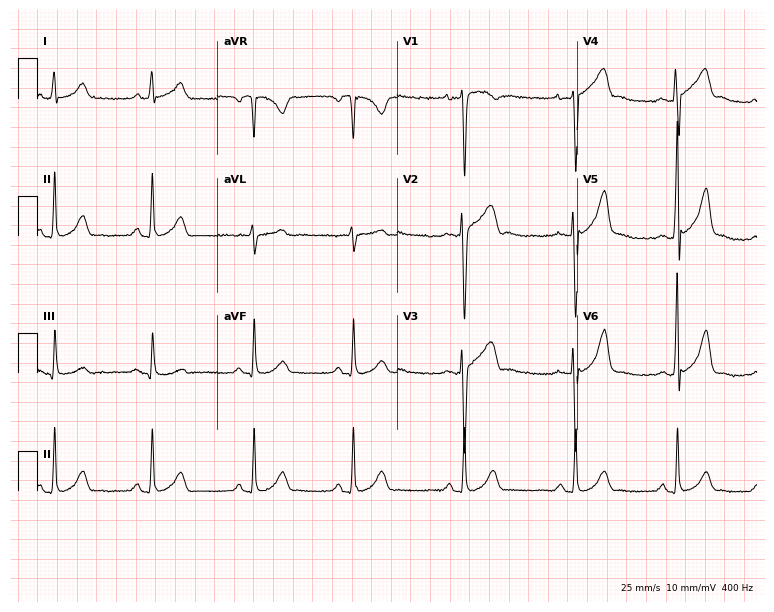
12-lead ECG from a 33-year-old male (7.3-second recording at 400 Hz). No first-degree AV block, right bundle branch block (RBBB), left bundle branch block (LBBB), sinus bradycardia, atrial fibrillation (AF) or sinus tachycardia recorded for this tracing. Other findings, if any, are not listed.